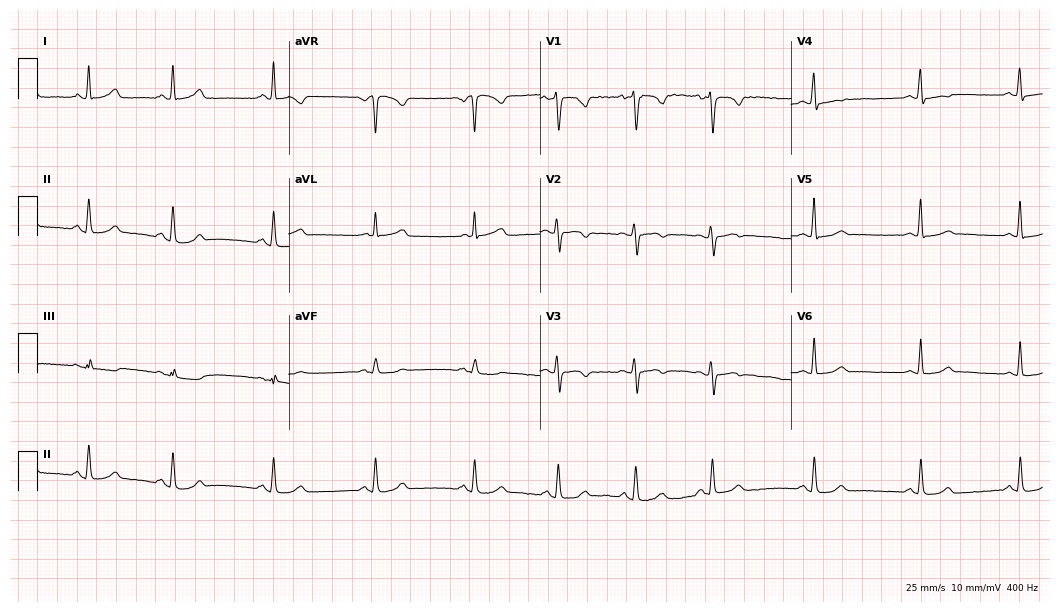
Resting 12-lead electrocardiogram. Patient: a 34-year-old female. None of these six findings is recorded: first-degree AV block, right bundle branch block (RBBB), left bundle branch block (LBBB), sinus bradycardia, atrial fibrillation (AF), sinus tachycardia. Only these six findings were labelled.